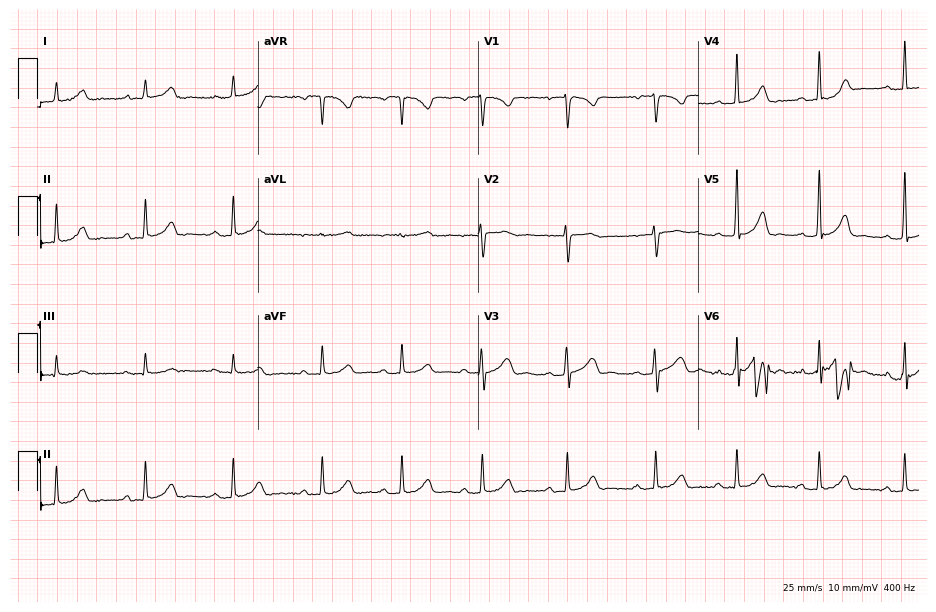
12-lead ECG from a female, 28 years old (9-second recording at 400 Hz). Recorded interpretation: within normal limits.